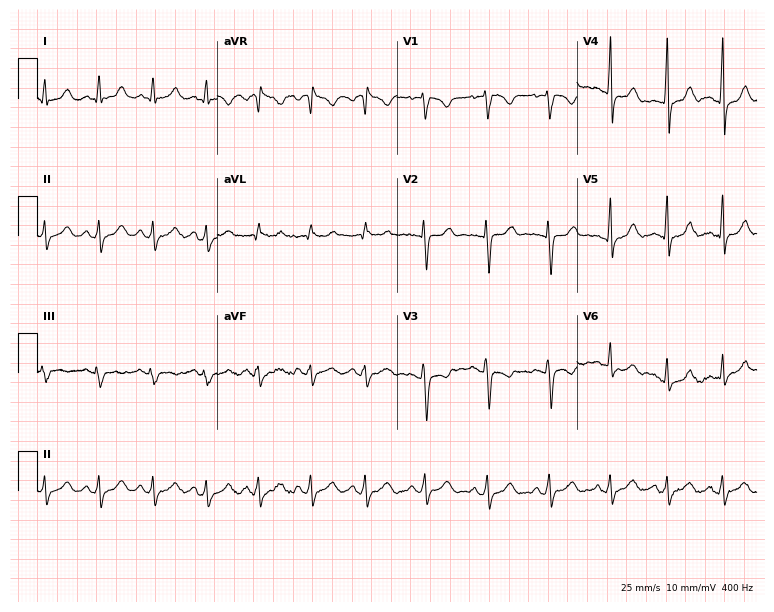
ECG (7.3-second recording at 400 Hz) — an 18-year-old female. Labelled as a normal ECG.